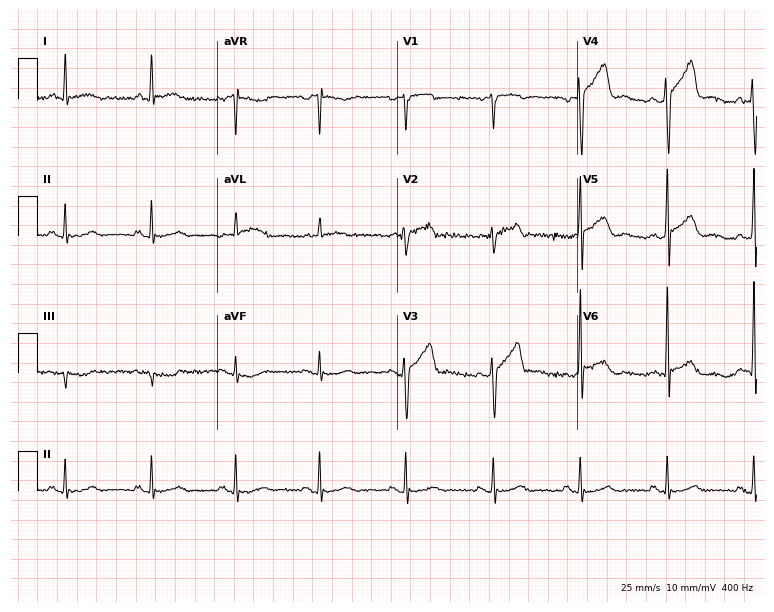
12-lead ECG from an 85-year-old male patient. Screened for six findings — first-degree AV block, right bundle branch block, left bundle branch block, sinus bradycardia, atrial fibrillation, sinus tachycardia — none is recorded. Findings outside these six are not listed.